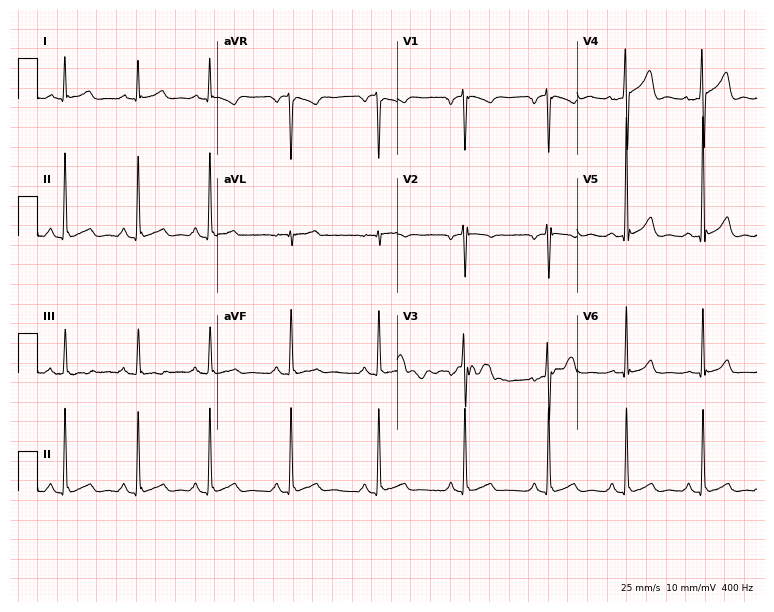
12-lead ECG from a male patient, 46 years old. No first-degree AV block, right bundle branch block, left bundle branch block, sinus bradycardia, atrial fibrillation or sinus tachycardia recorded for this tracing. Findings outside these six are not listed.